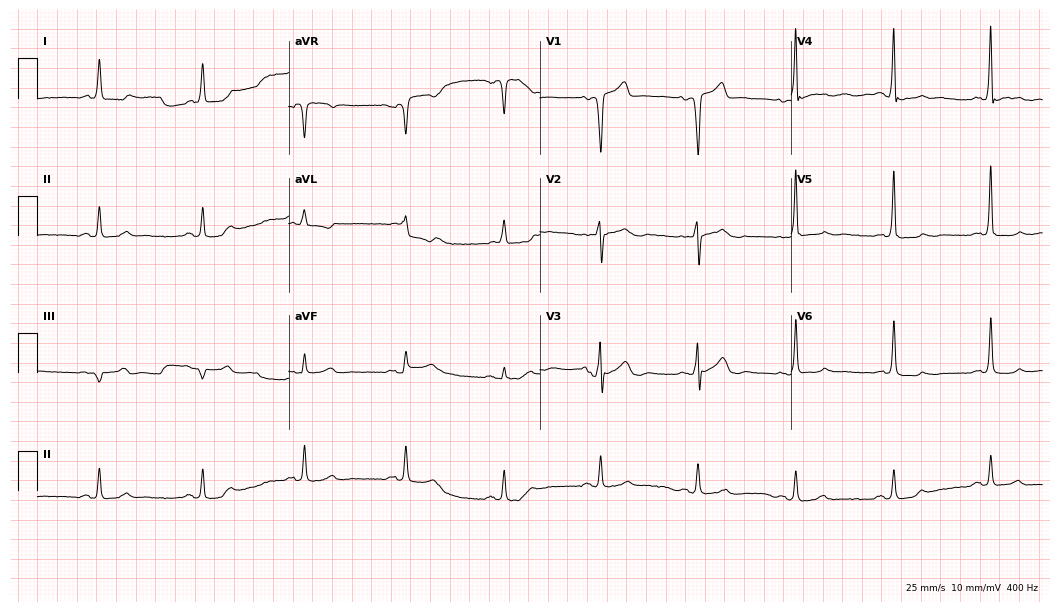
12-lead ECG from an 81-year-old male patient. Screened for six findings — first-degree AV block, right bundle branch block, left bundle branch block, sinus bradycardia, atrial fibrillation, sinus tachycardia — none is recorded.